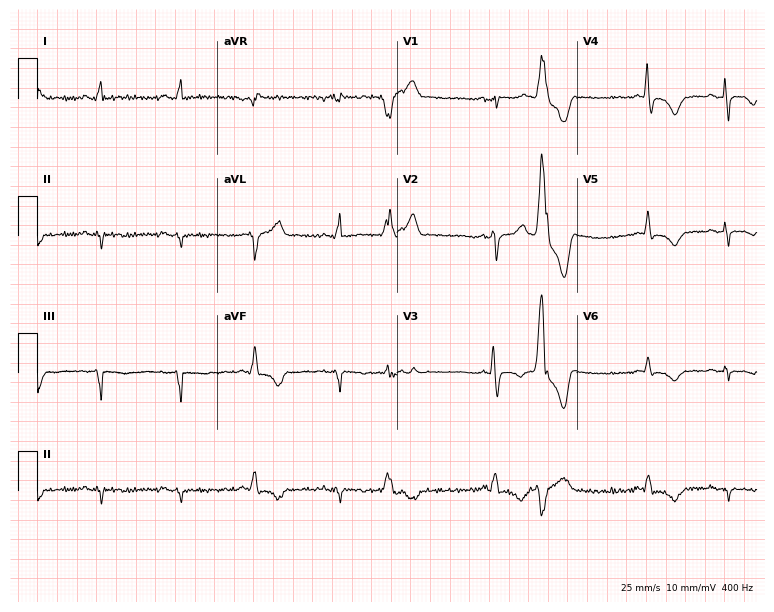
Resting 12-lead electrocardiogram (7.3-second recording at 400 Hz). Patient: a 56-year-old male. None of these six findings is recorded: first-degree AV block, right bundle branch block (RBBB), left bundle branch block (LBBB), sinus bradycardia, atrial fibrillation (AF), sinus tachycardia. Only these six findings were labelled.